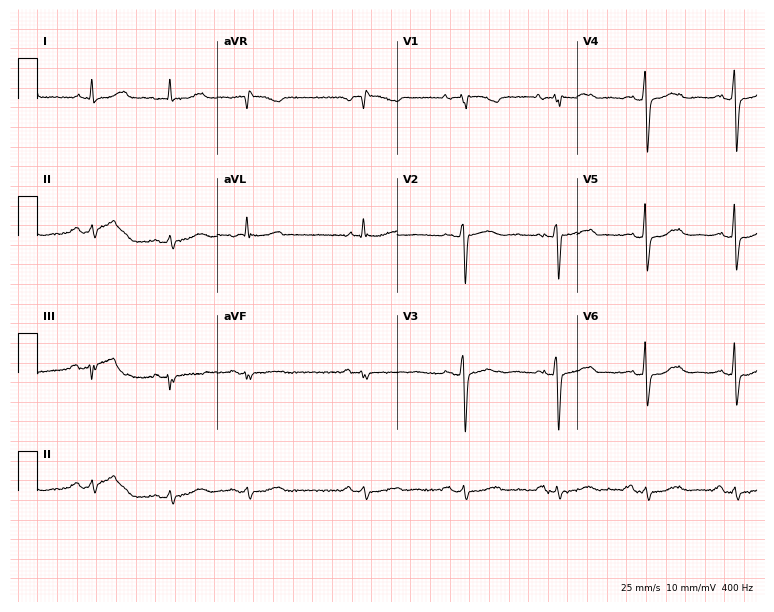
Resting 12-lead electrocardiogram (7.3-second recording at 400 Hz). Patient: a woman, 67 years old. None of these six findings is recorded: first-degree AV block, right bundle branch block, left bundle branch block, sinus bradycardia, atrial fibrillation, sinus tachycardia.